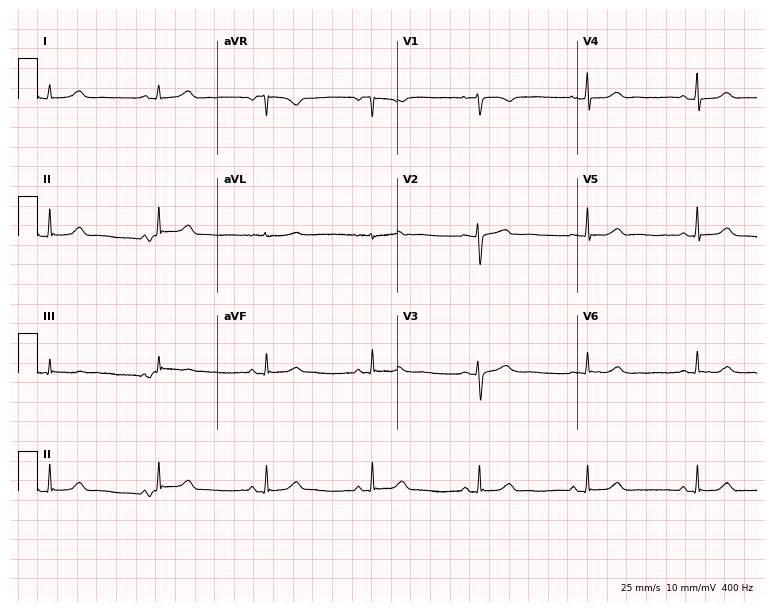
12-lead ECG from a 33-year-old woman. Screened for six findings — first-degree AV block, right bundle branch block (RBBB), left bundle branch block (LBBB), sinus bradycardia, atrial fibrillation (AF), sinus tachycardia — none is recorded. Findings outside these six are not listed.